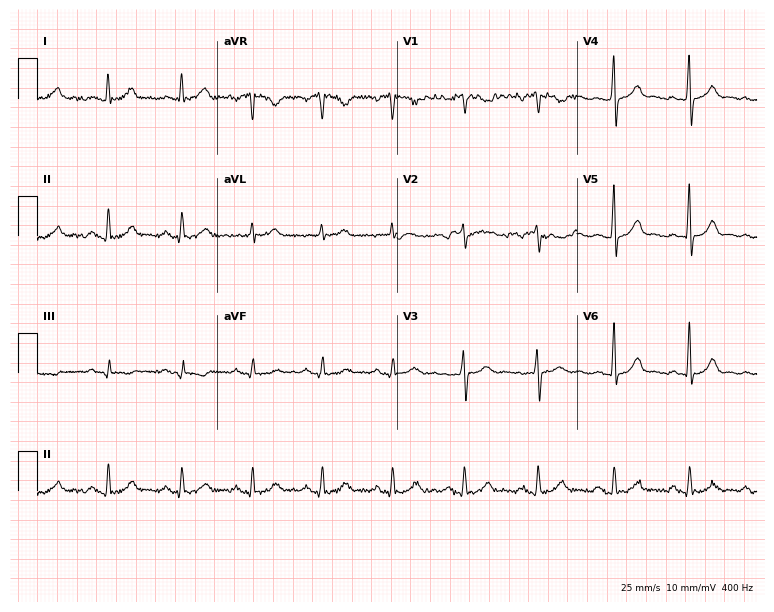
Resting 12-lead electrocardiogram (7.3-second recording at 400 Hz). Patient: a male, 36 years old. Read as a normal ECG.